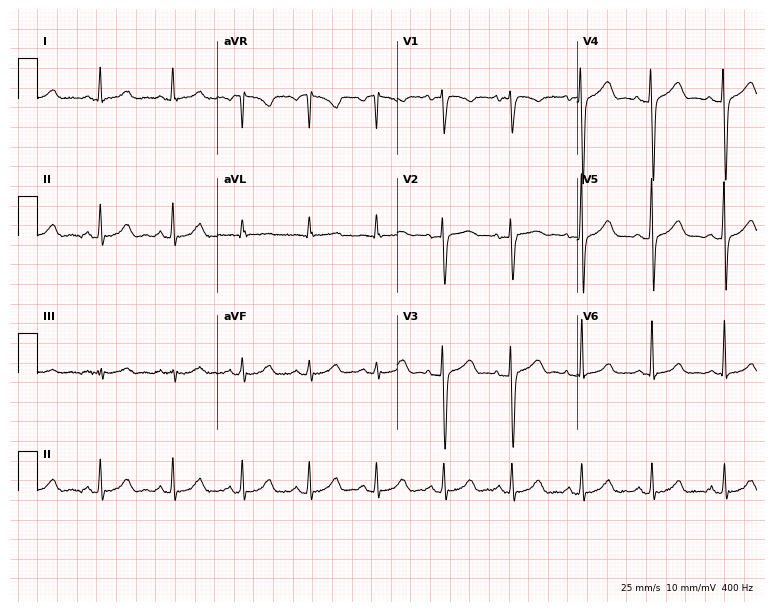
Electrocardiogram, a 32-year-old woman. Of the six screened findings (first-degree AV block, right bundle branch block (RBBB), left bundle branch block (LBBB), sinus bradycardia, atrial fibrillation (AF), sinus tachycardia), none is recorded. Findings outside these six are not listed.